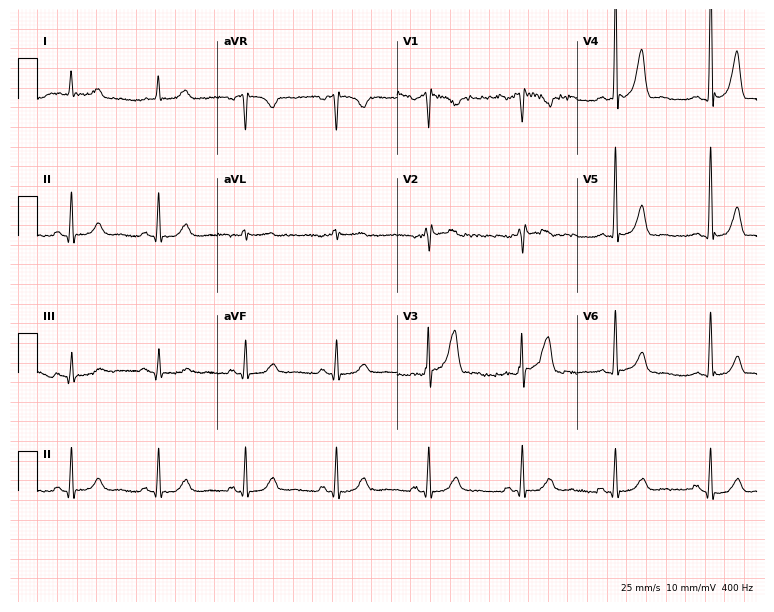
Resting 12-lead electrocardiogram. Patient: a 64-year-old male. None of these six findings is recorded: first-degree AV block, right bundle branch block, left bundle branch block, sinus bradycardia, atrial fibrillation, sinus tachycardia.